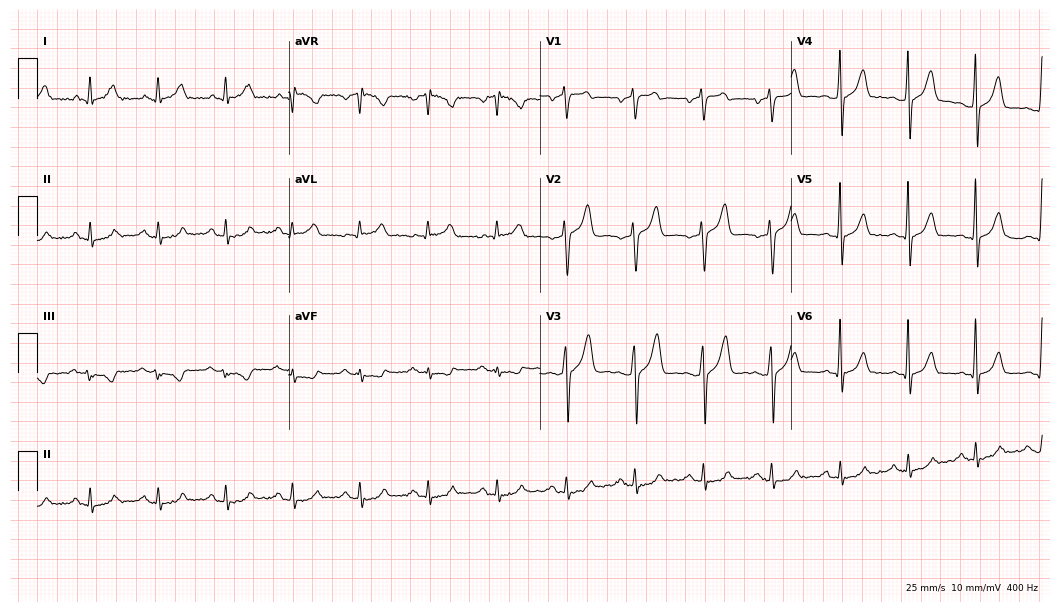
Electrocardiogram (10.2-second recording at 400 Hz), a male, 56 years old. Of the six screened findings (first-degree AV block, right bundle branch block (RBBB), left bundle branch block (LBBB), sinus bradycardia, atrial fibrillation (AF), sinus tachycardia), none is recorded.